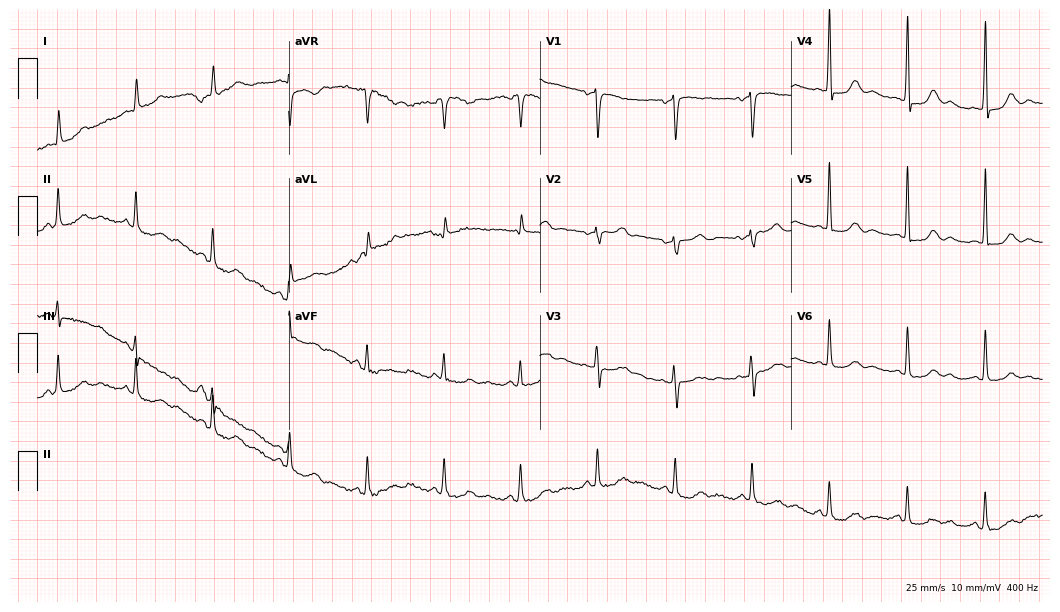
Standard 12-lead ECG recorded from a woman, 71 years old. Read as a normal ECG.